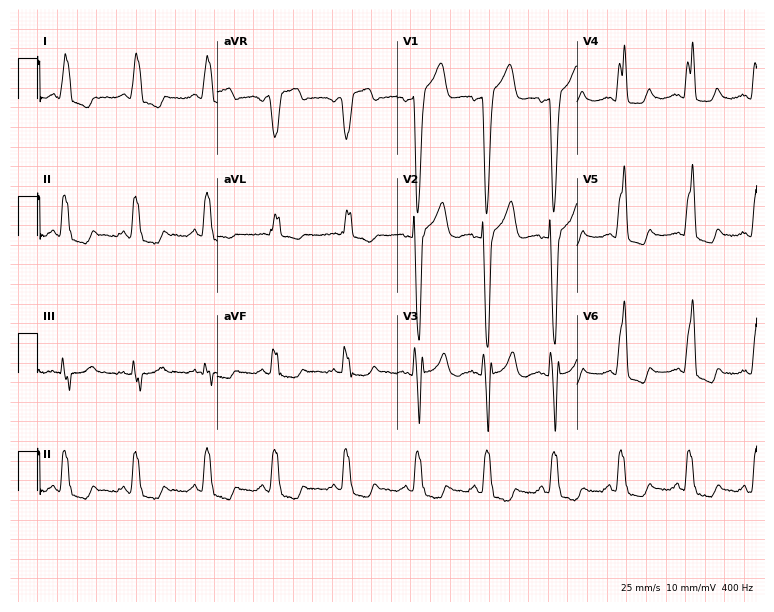
ECG — a woman, 58 years old. Screened for six findings — first-degree AV block, right bundle branch block, left bundle branch block, sinus bradycardia, atrial fibrillation, sinus tachycardia — none is recorded.